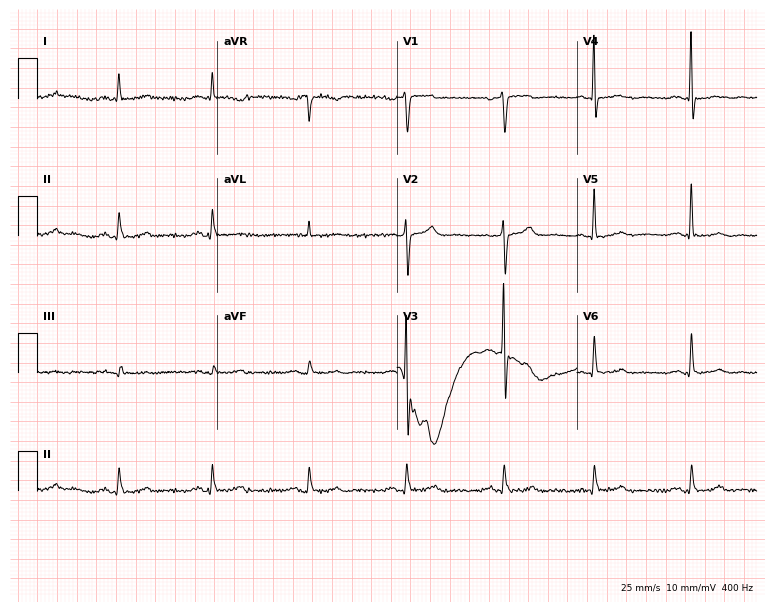
12-lead ECG from a male, 77 years old. No first-degree AV block, right bundle branch block, left bundle branch block, sinus bradycardia, atrial fibrillation or sinus tachycardia recorded for this tracing. Findings outside these six are not listed.